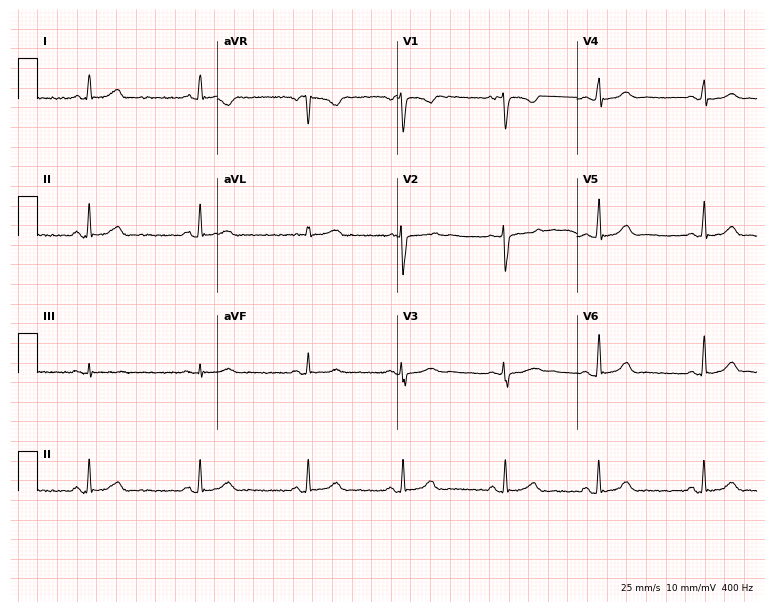
Resting 12-lead electrocardiogram (7.3-second recording at 400 Hz). Patient: a 28-year-old woman. Read as a normal ECG.